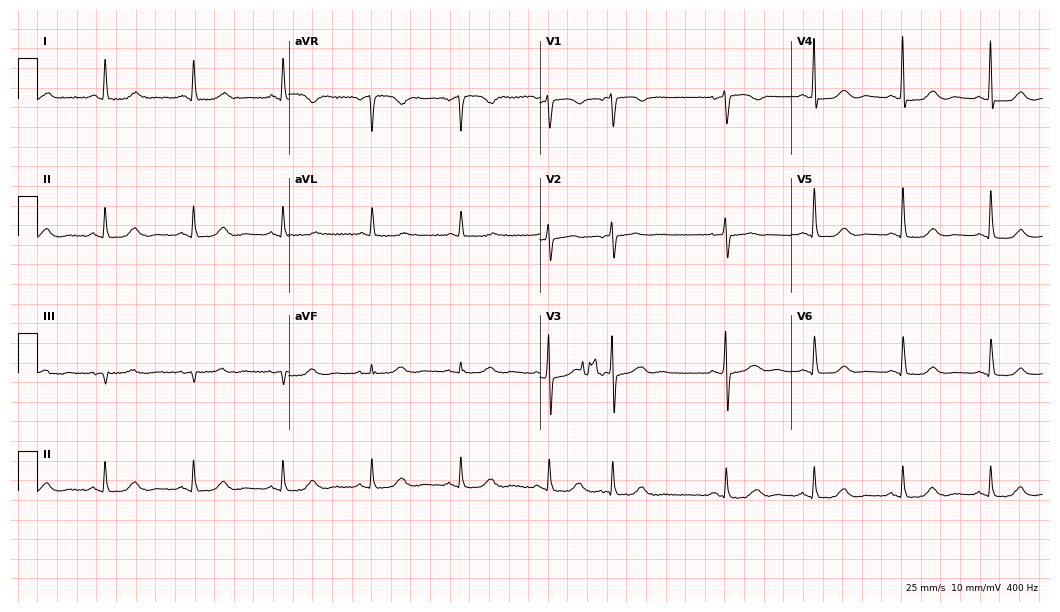
12-lead ECG (10.2-second recording at 400 Hz) from a female, 80 years old. Screened for six findings — first-degree AV block, right bundle branch block, left bundle branch block, sinus bradycardia, atrial fibrillation, sinus tachycardia — none is recorded. Other findings, if any, are not listed.